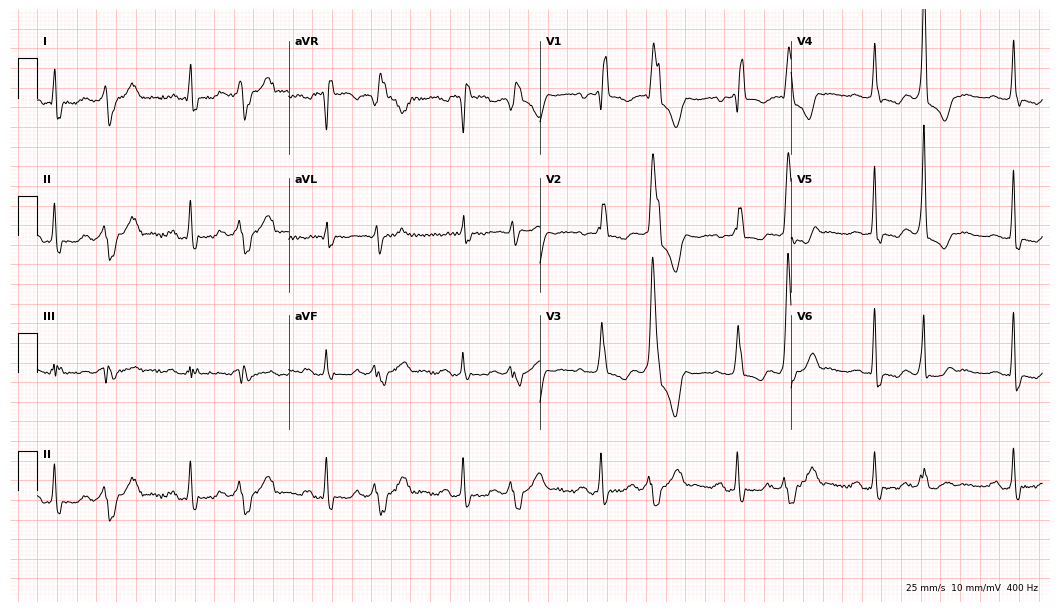
Resting 12-lead electrocardiogram (10.2-second recording at 400 Hz). Patient: a 60-year-old female. The tracing shows right bundle branch block.